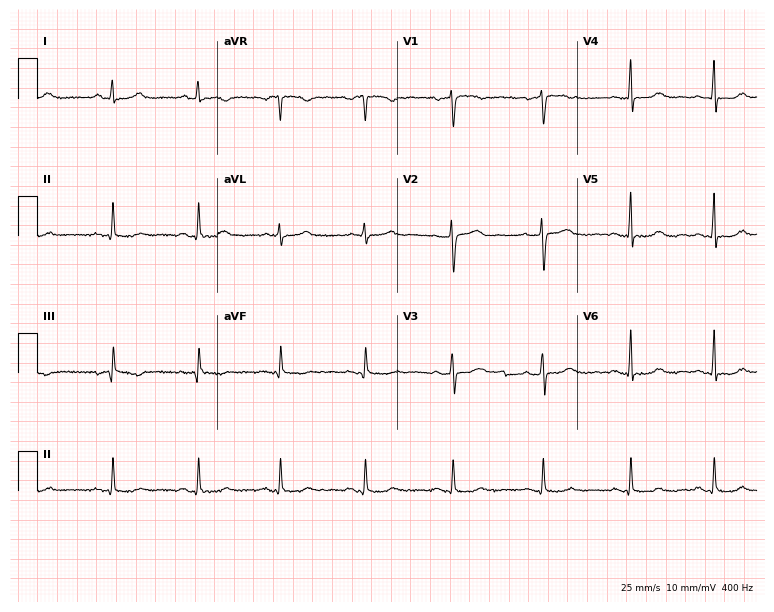
Resting 12-lead electrocardiogram (7.3-second recording at 400 Hz). Patient: a 49-year-old female. None of these six findings is recorded: first-degree AV block, right bundle branch block (RBBB), left bundle branch block (LBBB), sinus bradycardia, atrial fibrillation (AF), sinus tachycardia.